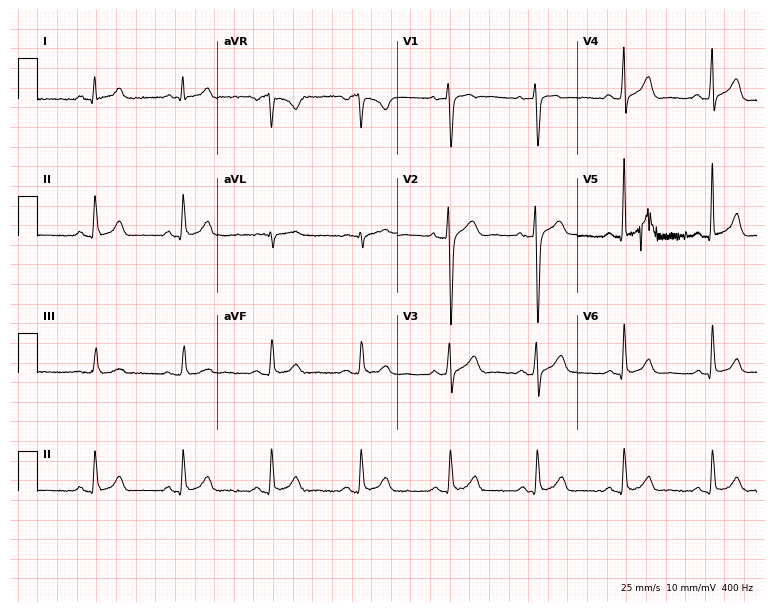
ECG (7.3-second recording at 400 Hz) — a 45-year-old male patient. Labelled as a normal ECG.